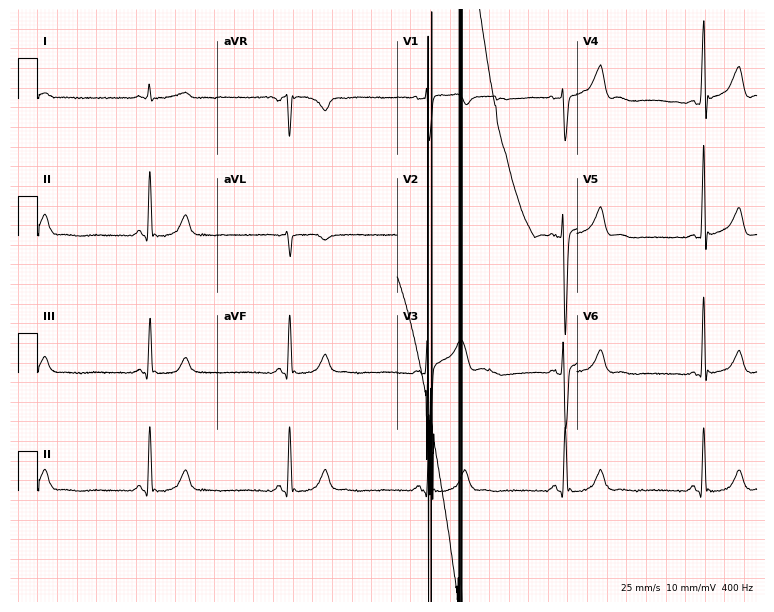
Resting 12-lead electrocardiogram. Patient: a 61-year-old man. The tracing shows sinus bradycardia (a sinus rate of 50 beats per minute or less).